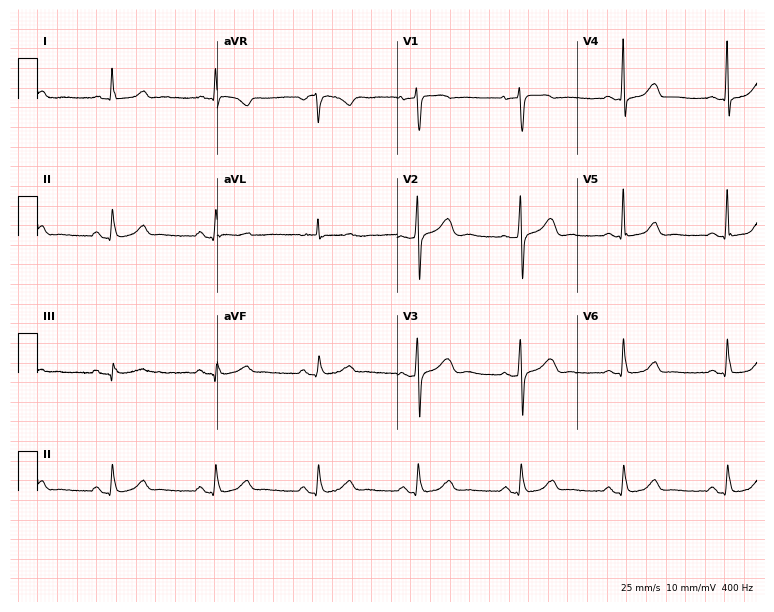
12-lead ECG from a female, 62 years old. Labelled as a normal ECG.